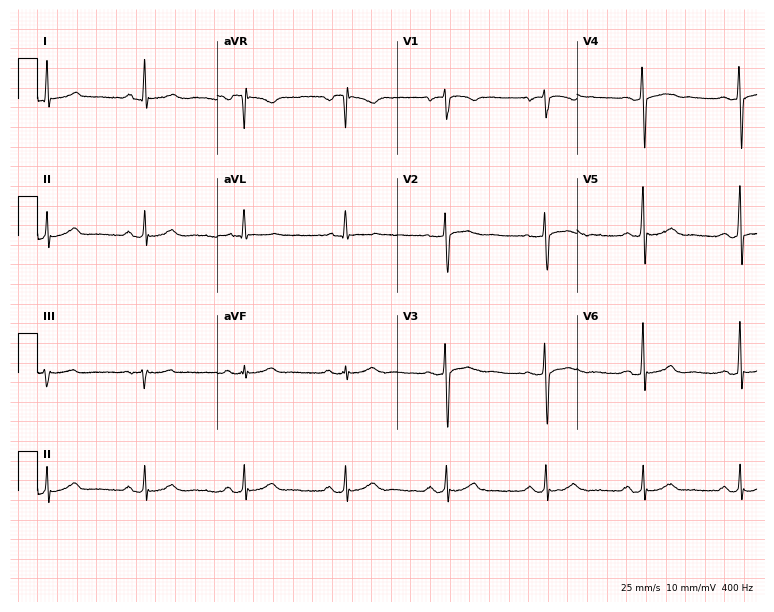
Resting 12-lead electrocardiogram. Patient: a 55-year-old female. Read as a normal ECG.